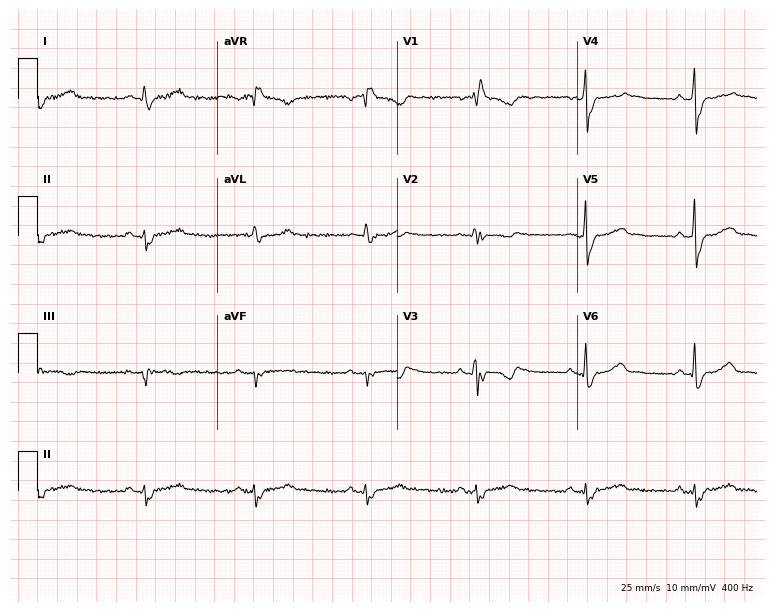
ECG — a 47-year-old male patient. Screened for six findings — first-degree AV block, right bundle branch block, left bundle branch block, sinus bradycardia, atrial fibrillation, sinus tachycardia — none is recorded. Findings outside these six are not listed.